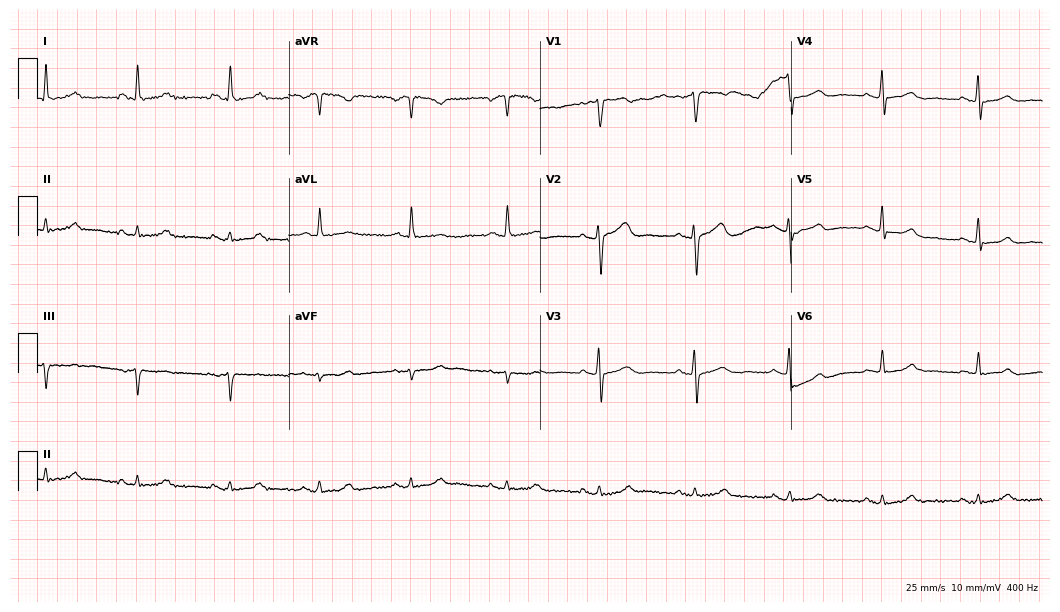
ECG (10.2-second recording at 400 Hz) — a 55-year-old female patient. Screened for six findings — first-degree AV block, right bundle branch block (RBBB), left bundle branch block (LBBB), sinus bradycardia, atrial fibrillation (AF), sinus tachycardia — none is recorded. Only these six findings were labelled.